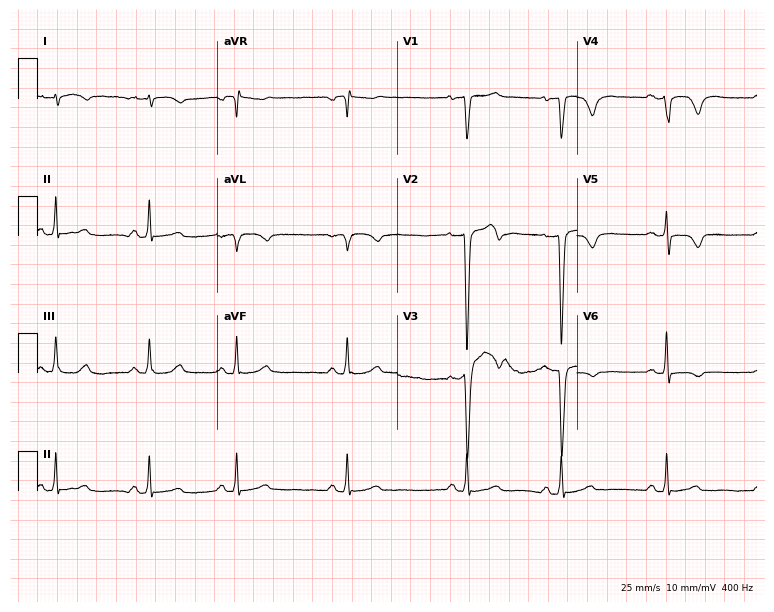
Resting 12-lead electrocardiogram. Patient: a man, 36 years old. None of these six findings is recorded: first-degree AV block, right bundle branch block, left bundle branch block, sinus bradycardia, atrial fibrillation, sinus tachycardia. Only these six findings were labelled.